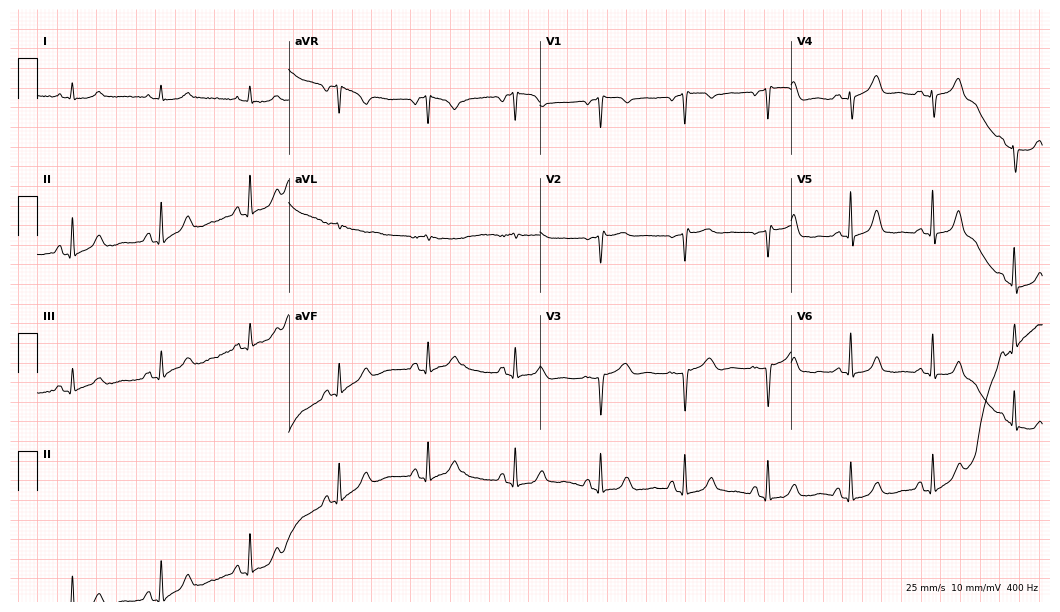
12-lead ECG (10.2-second recording at 400 Hz) from a woman, 80 years old. Screened for six findings — first-degree AV block, right bundle branch block (RBBB), left bundle branch block (LBBB), sinus bradycardia, atrial fibrillation (AF), sinus tachycardia — none is recorded. Other findings, if any, are not listed.